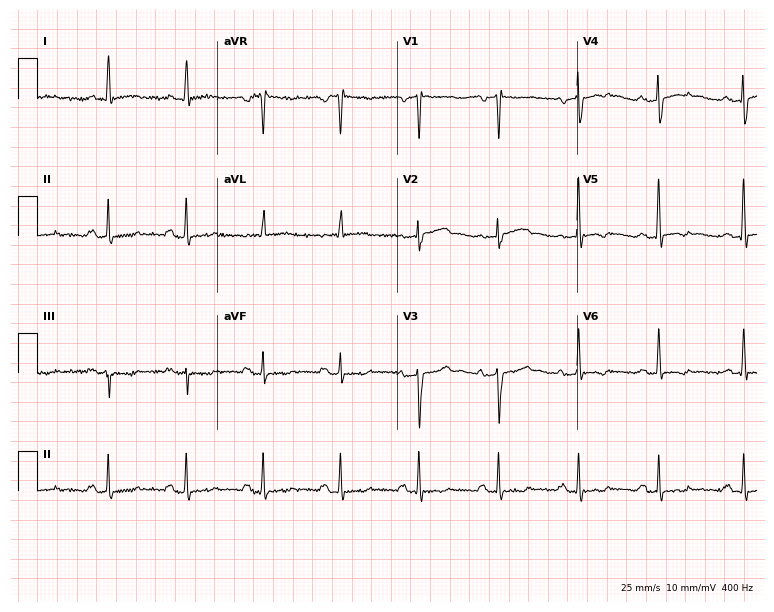
12-lead ECG from a 54-year-old female patient. Screened for six findings — first-degree AV block, right bundle branch block, left bundle branch block, sinus bradycardia, atrial fibrillation, sinus tachycardia — none is recorded.